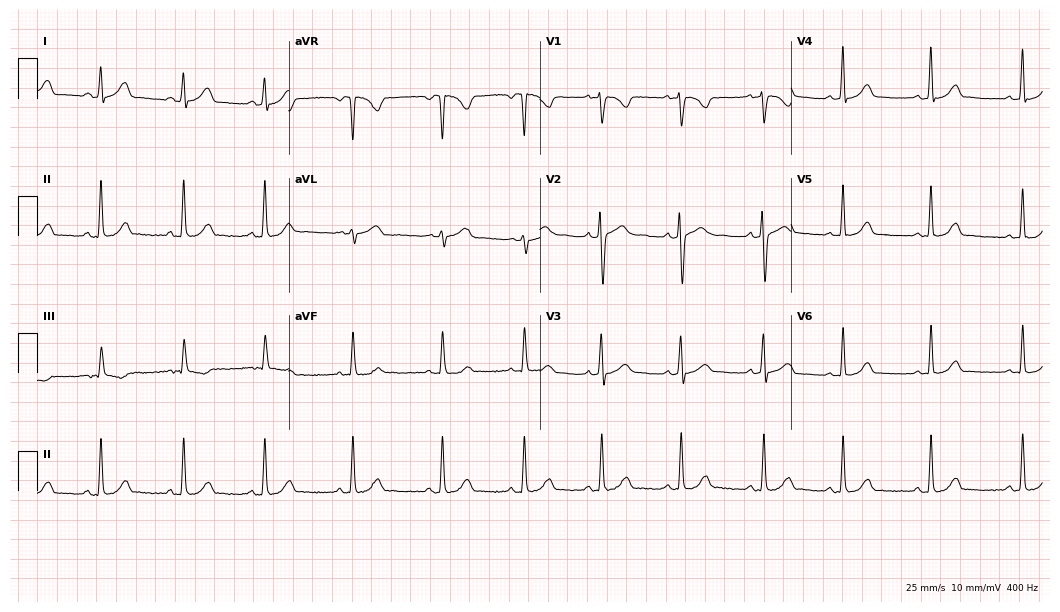
Resting 12-lead electrocardiogram. Patient: a female, 24 years old. Read as a normal ECG.